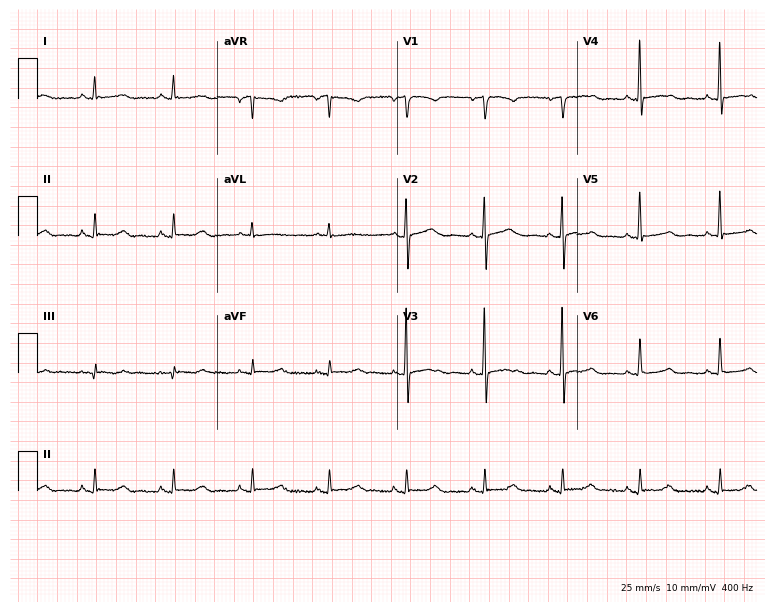
Standard 12-lead ECG recorded from a female, 58 years old. Read as a normal ECG.